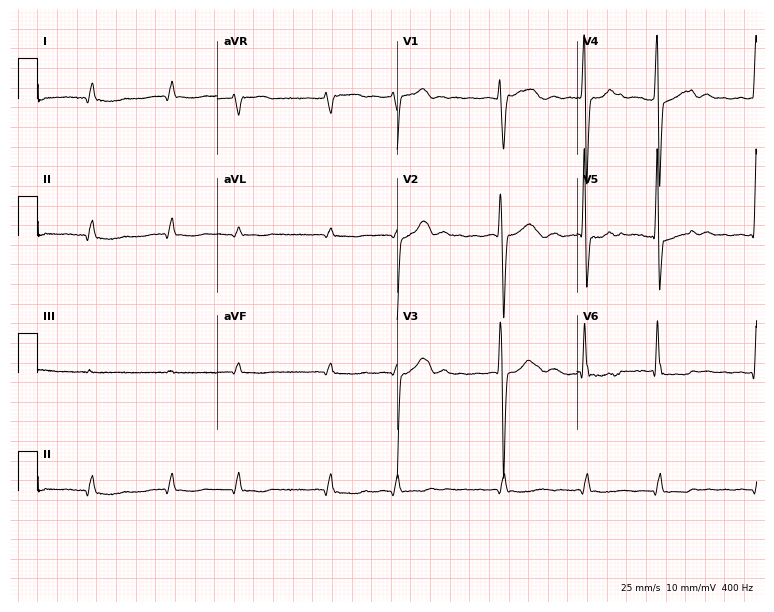
ECG — a male patient, 83 years old. Labelled as a normal ECG.